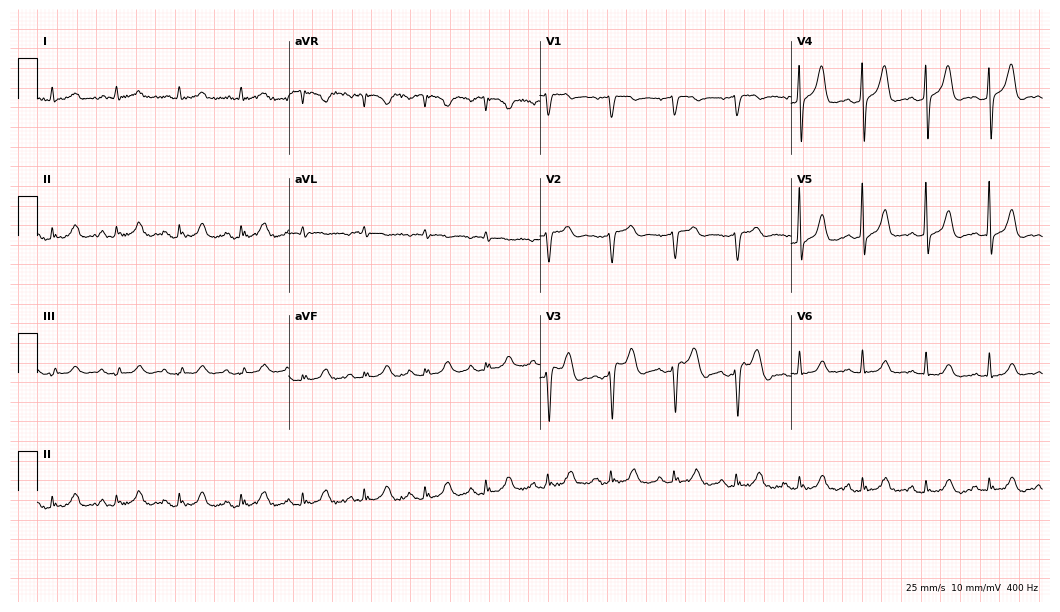
Electrocardiogram (10.2-second recording at 400 Hz), a 54-year-old female. Of the six screened findings (first-degree AV block, right bundle branch block (RBBB), left bundle branch block (LBBB), sinus bradycardia, atrial fibrillation (AF), sinus tachycardia), none is recorded. Only these six findings were labelled.